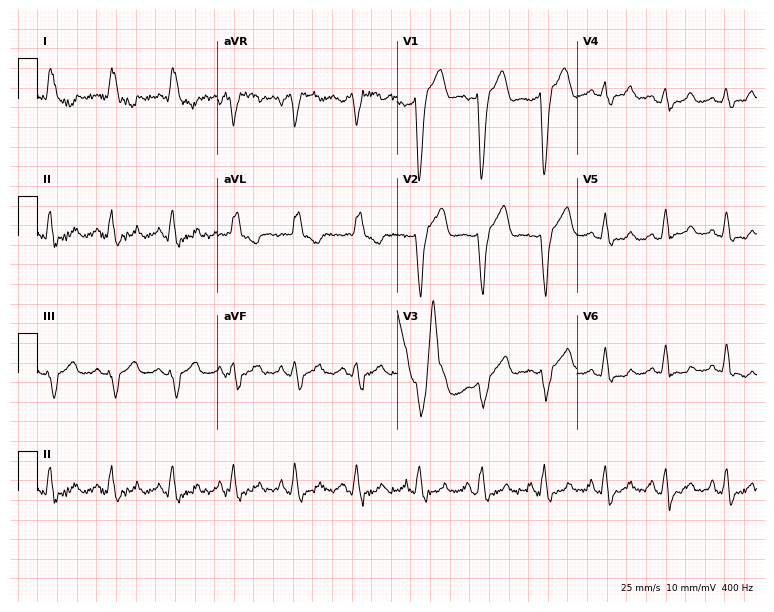
Resting 12-lead electrocardiogram (7.3-second recording at 400 Hz). Patient: a man, 60 years old. None of these six findings is recorded: first-degree AV block, right bundle branch block, left bundle branch block, sinus bradycardia, atrial fibrillation, sinus tachycardia.